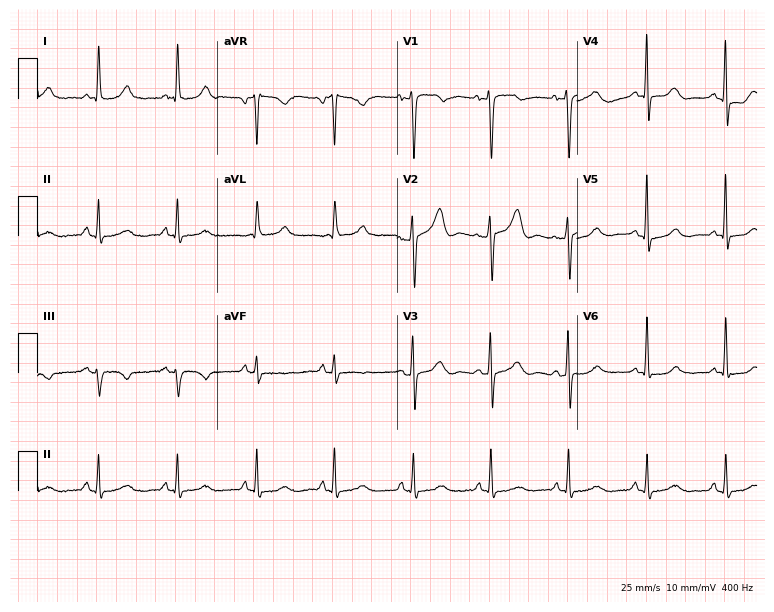
Electrocardiogram, an 83-year-old male. Of the six screened findings (first-degree AV block, right bundle branch block, left bundle branch block, sinus bradycardia, atrial fibrillation, sinus tachycardia), none is recorded. Findings outside these six are not listed.